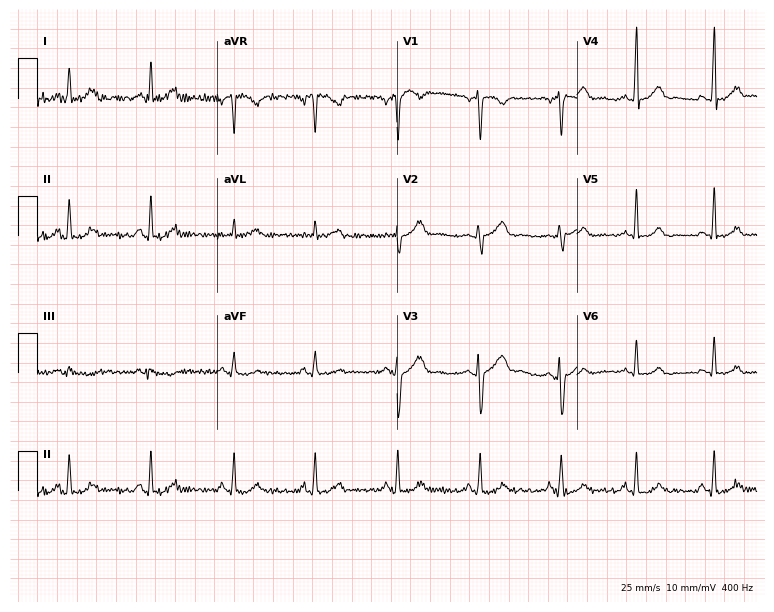
Resting 12-lead electrocardiogram (7.3-second recording at 400 Hz). Patient: a male, 29 years old. None of these six findings is recorded: first-degree AV block, right bundle branch block, left bundle branch block, sinus bradycardia, atrial fibrillation, sinus tachycardia. Only these six findings were labelled.